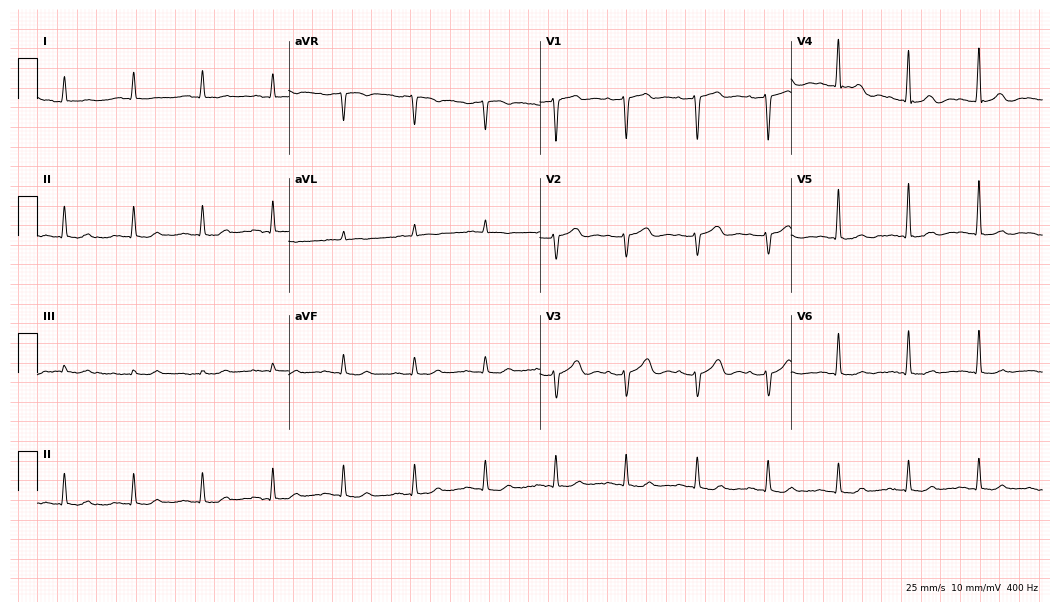
12-lead ECG from a man, 79 years old. Labelled as a normal ECG.